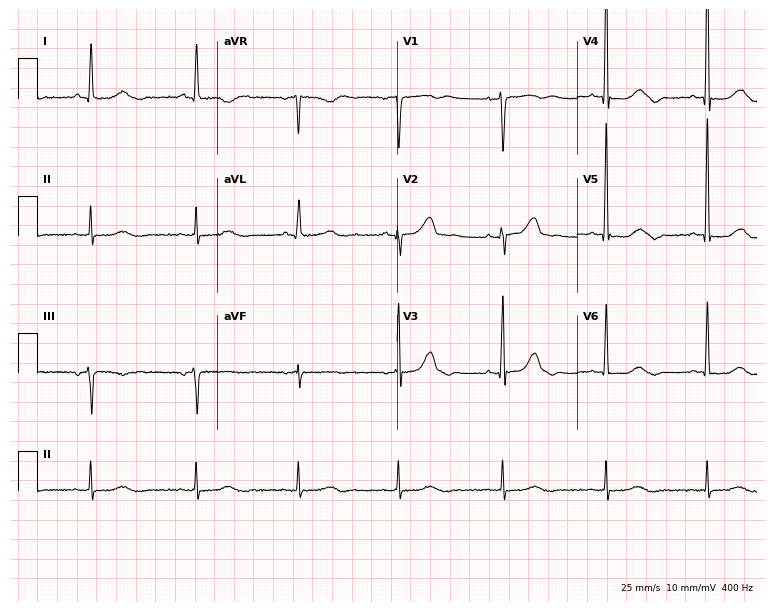
Resting 12-lead electrocardiogram. Patient: a 41-year-old female. Read as a normal ECG.